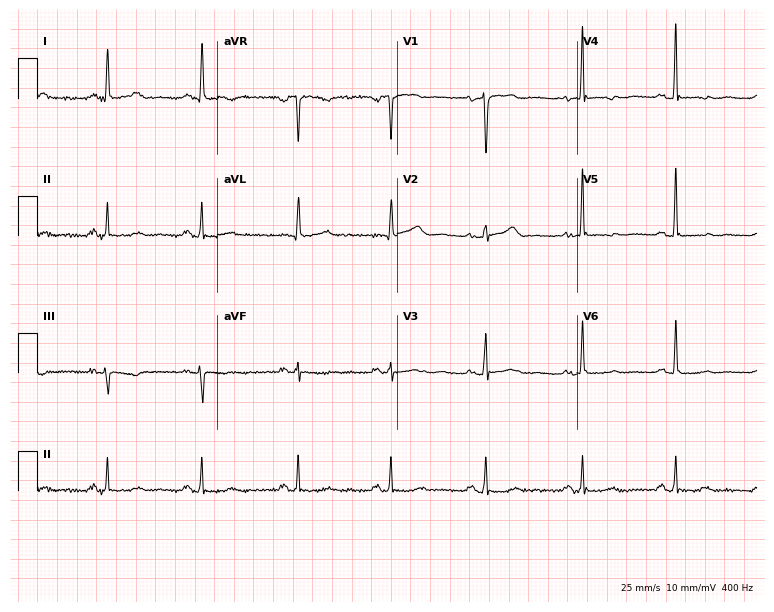
12-lead ECG from a female, 57 years old (7.3-second recording at 400 Hz). No first-degree AV block, right bundle branch block (RBBB), left bundle branch block (LBBB), sinus bradycardia, atrial fibrillation (AF) or sinus tachycardia recorded for this tracing. Other findings, if any, are not listed.